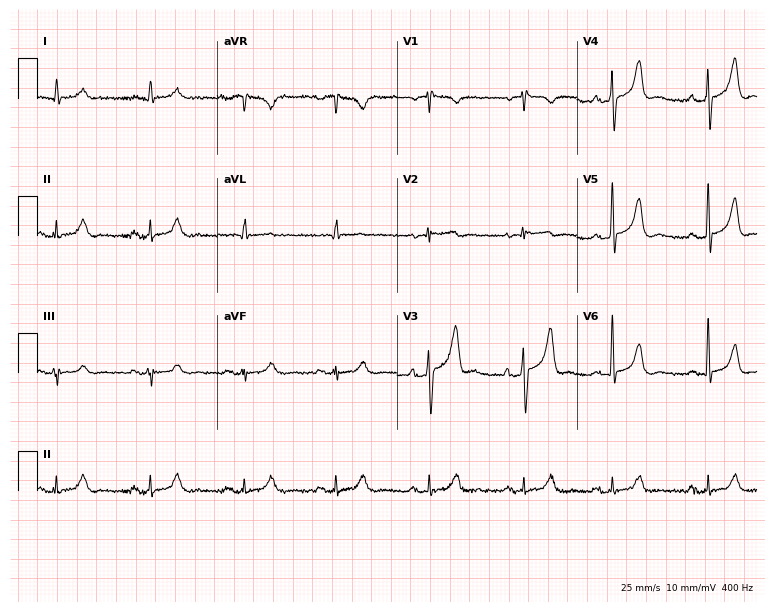
ECG — a 76-year-old male patient. Screened for six findings — first-degree AV block, right bundle branch block (RBBB), left bundle branch block (LBBB), sinus bradycardia, atrial fibrillation (AF), sinus tachycardia — none is recorded.